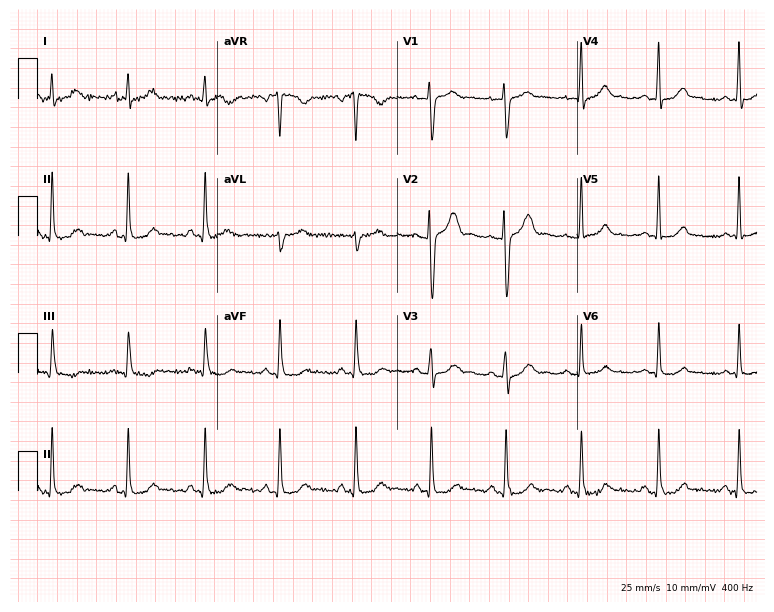
Electrocardiogram, a female patient, 34 years old. Of the six screened findings (first-degree AV block, right bundle branch block, left bundle branch block, sinus bradycardia, atrial fibrillation, sinus tachycardia), none is recorded.